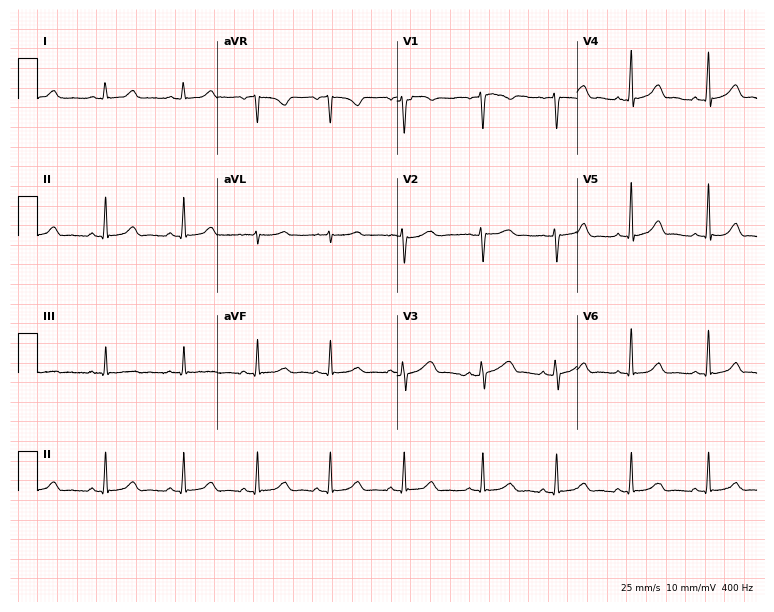
Resting 12-lead electrocardiogram. Patient: a female, 37 years old. Read as a normal ECG.